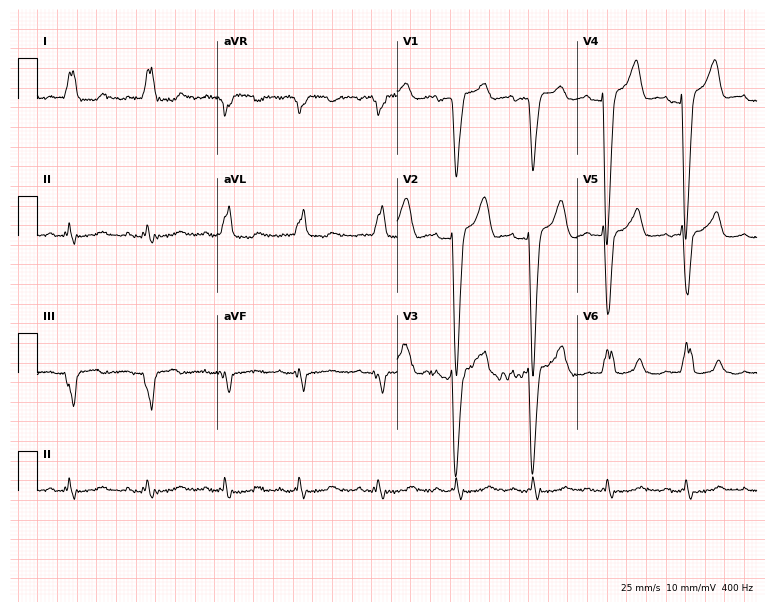
Electrocardiogram (7.3-second recording at 400 Hz), a female patient, 73 years old. Interpretation includes left bundle branch block.